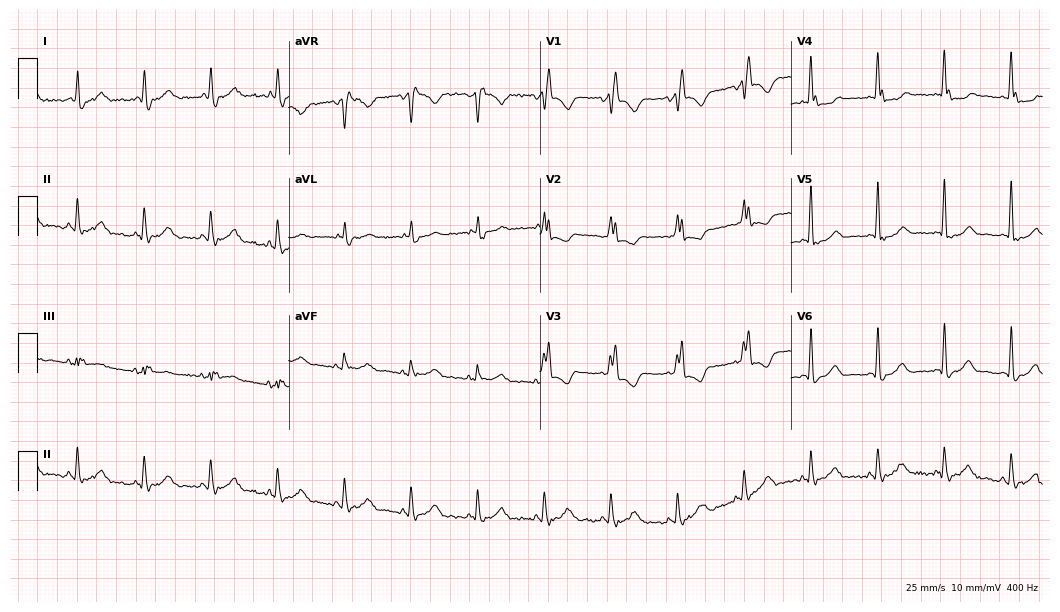
12-lead ECG (10.2-second recording at 400 Hz) from a female, 78 years old. Findings include right bundle branch block.